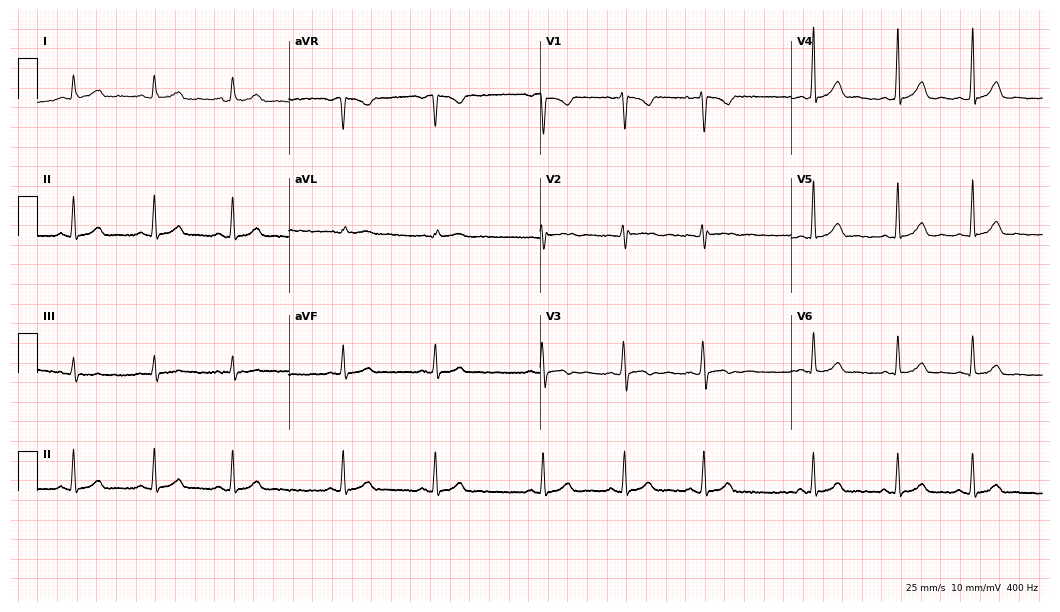
Resting 12-lead electrocardiogram. Patient: a female, 17 years old. Read as a normal ECG.